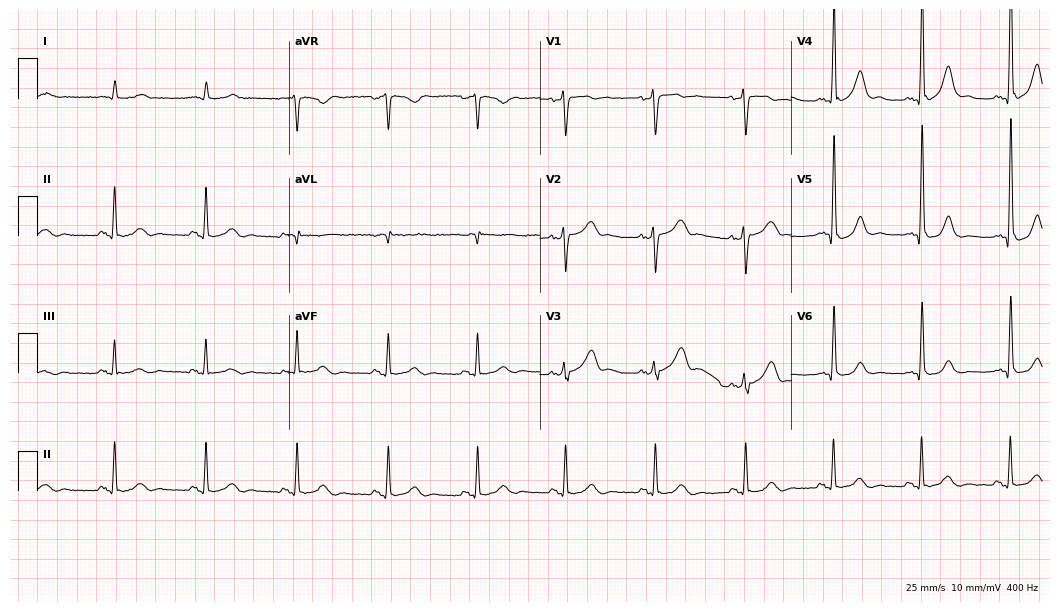
12-lead ECG (10.2-second recording at 400 Hz) from a 66-year-old man. Screened for six findings — first-degree AV block, right bundle branch block, left bundle branch block, sinus bradycardia, atrial fibrillation, sinus tachycardia — none is recorded.